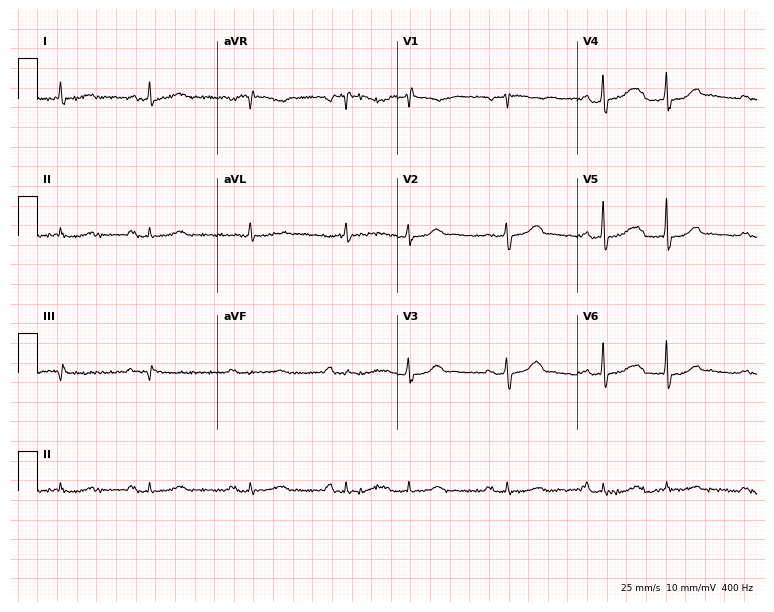
ECG — a man, 82 years old. Screened for six findings — first-degree AV block, right bundle branch block, left bundle branch block, sinus bradycardia, atrial fibrillation, sinus tachycardia — none is recorded.